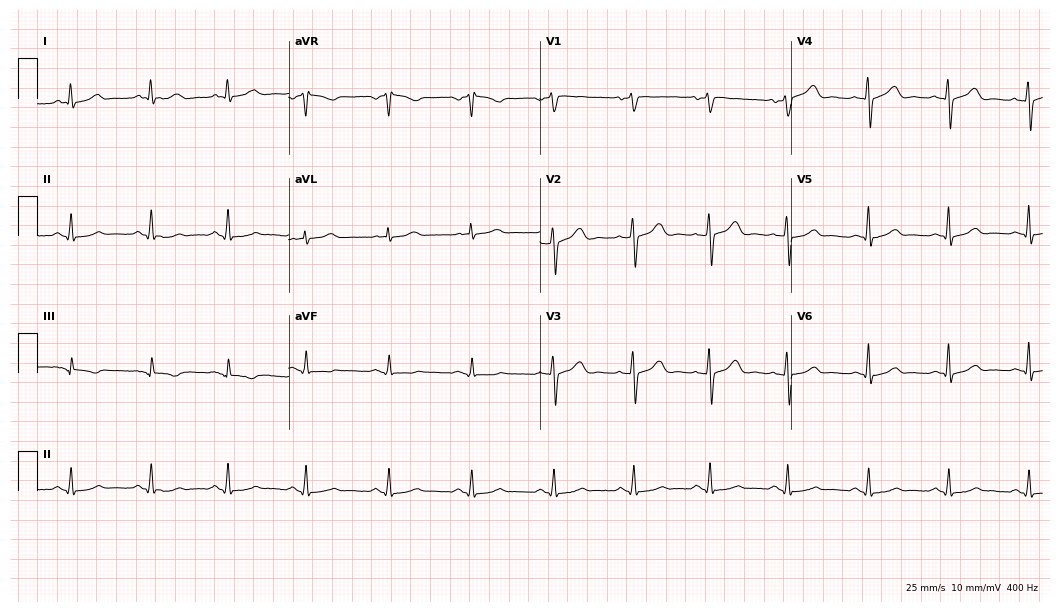
ECG — a male patient, 39 years old. Labelled as a normal ECG.